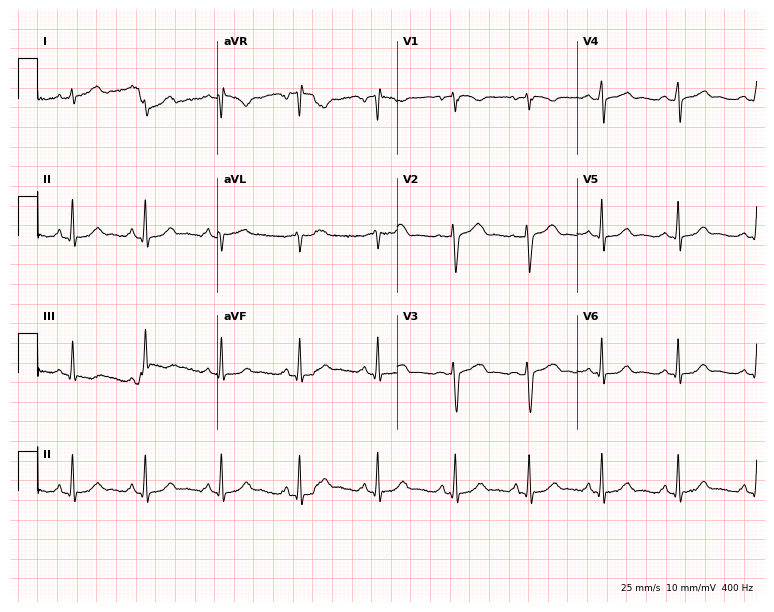
Resting 12-lead electrocardiogram (7.3-second recording at 400 Hz). Patient: a 40-year-old female. Read as a normal ECG.